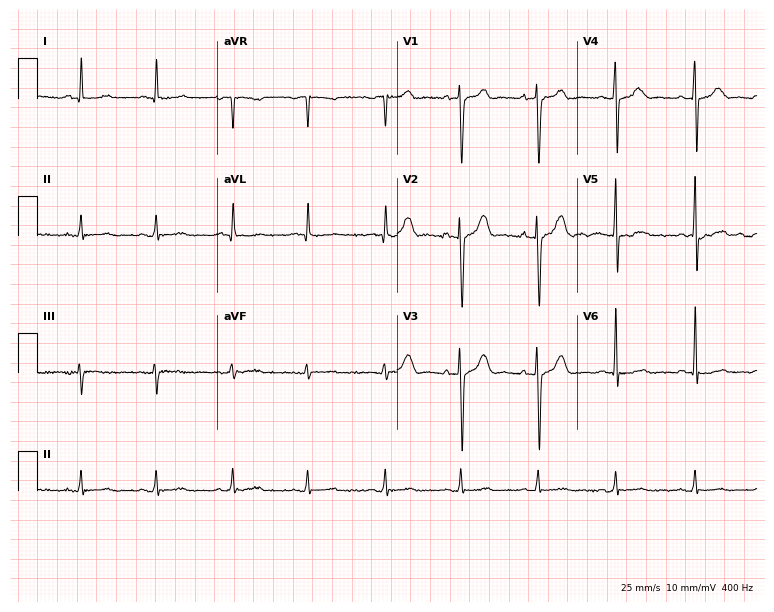
12-lead ECG (7.3-second recording at 400 Hz) from a man, 76 years old. Screened for six findings — first-degree AV block, right bundle branch block, left bundle branch block, sinus bradycardia, atrial fibrillation, sinus tachycardia — none is recorded.